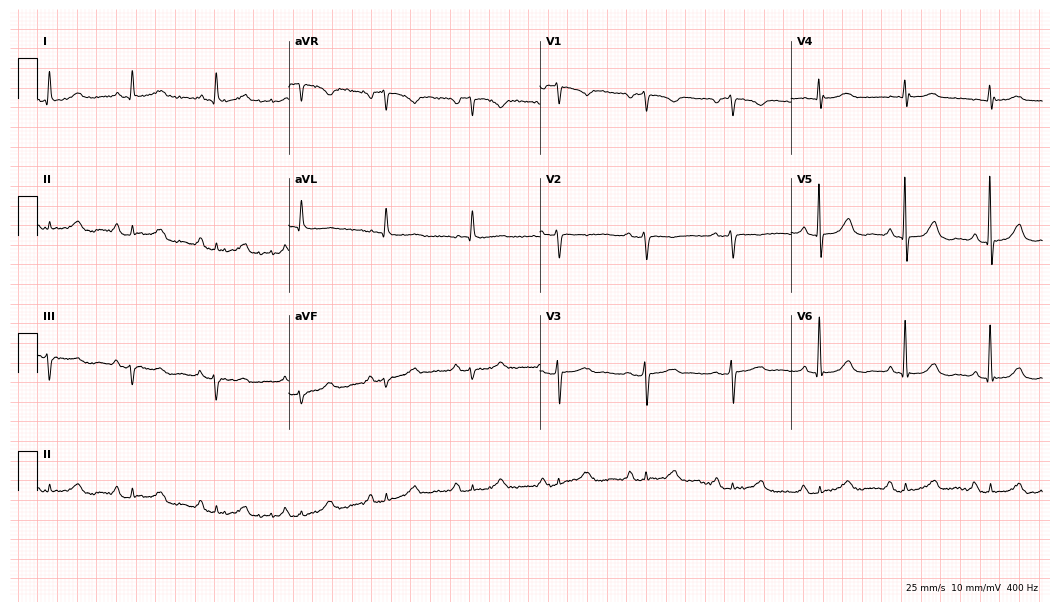
Resting 12-lead electrocardiogram (10.2-second recording at 400 Hz). Patient: a female, 70 years old. None of these six findings is recorded: first-degree AV block, right bundle branch block (RBBB), left bundle branch block (LBBB), sinus bradycardia, atrial fibrillation (AF), sinus tachycardia. Other findings, if any, are not listed.